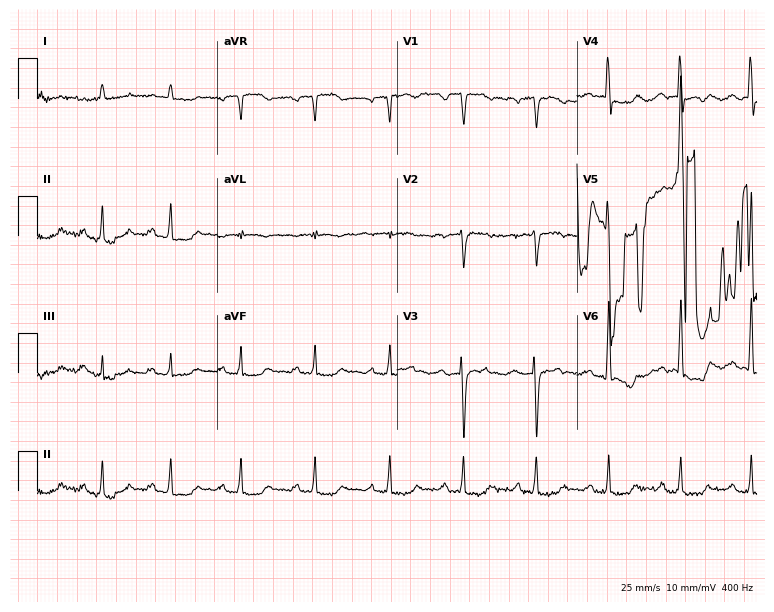
ECG — a 79-year-old male patient. Screened for six findings — first-degree AV block, right bundle branch block, left bundle branch block, sinus bradycardia, atrial fibrillation, sinus tachycardia — none is recorded.